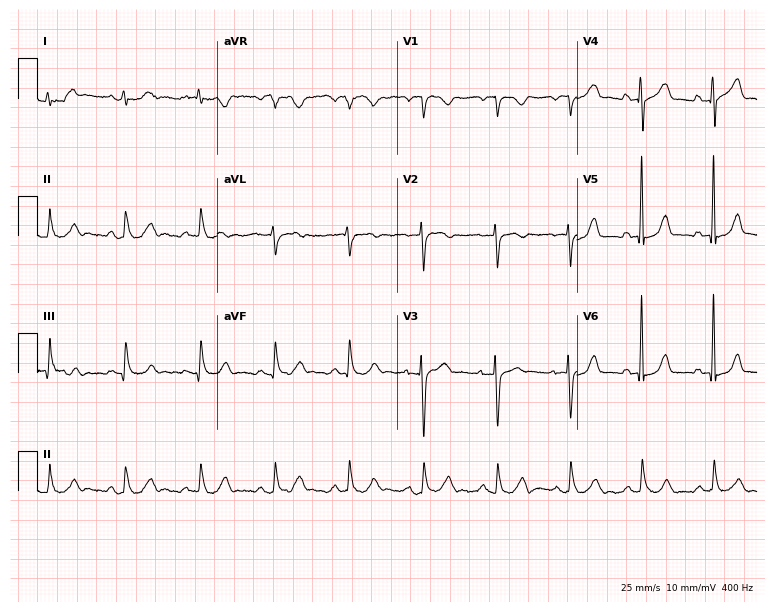
Standard 12-lead ECG recorded from a 17-year-old woman (7.3-second recording at 400 Hz). Read as a normal ECG.